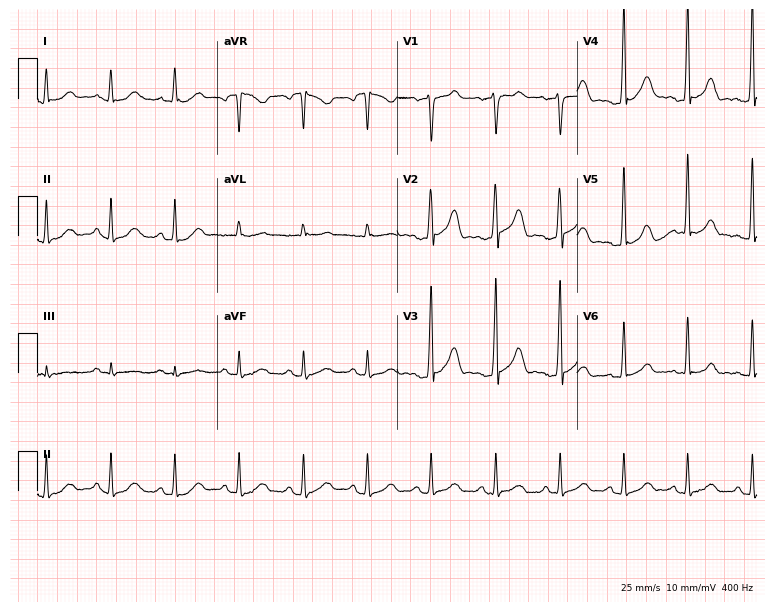
Standard 12-lead ECG recorded from a 63-year-old male patient (7.3-second recording at 400 Hz). Read as a normal ECG.